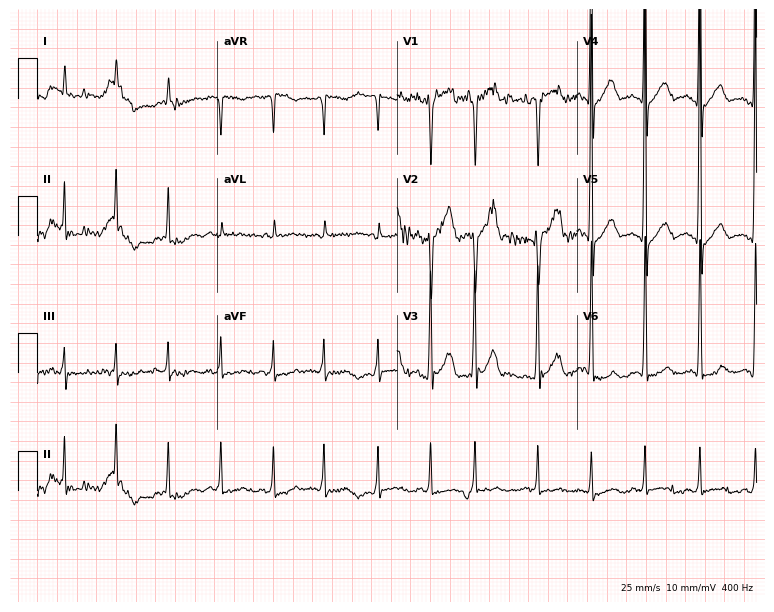
12-lead ECG from an 81-year-old male patient. Findings include sinus tachycardia (a sinus rate of 100 beats per minute or more).